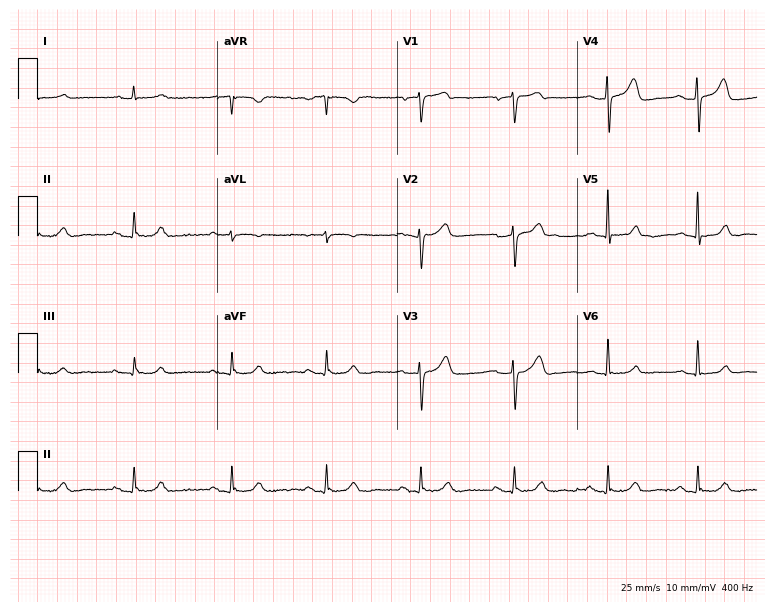
Resting 12-lead electrocardiogram (7.3-second recording at 400 Hz). Patient: a 73-year-old male. Read as a normal ECG.